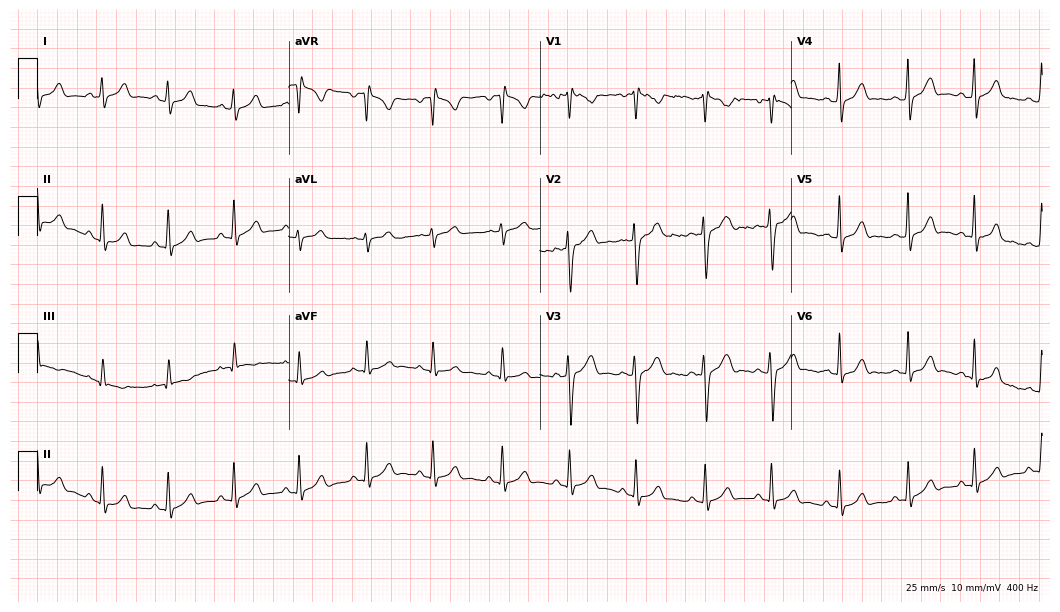
12-lead ECG (10.2-second recording at 400 Hz) from a 19-year-old woman. Labelled as a normal ECG.